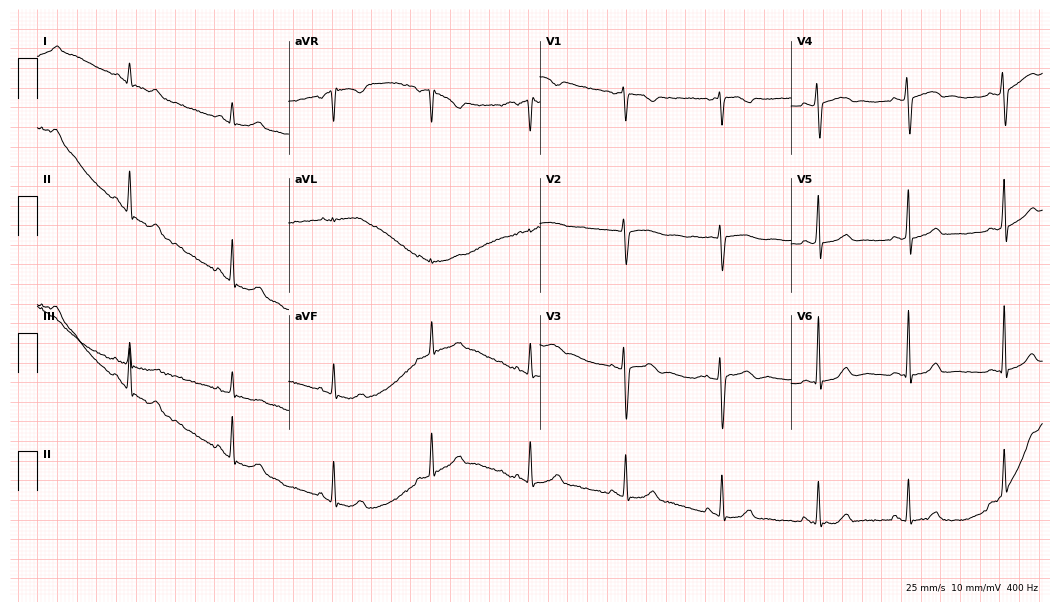
Electrocardiogram (10.2-second recording at 400 Hz), a 27-year-old female. Of the six screened findings (first-degree AV block, right bundle branch block, left bundle branch block, sinus bradycardia, atrial fibrillation, sinus tachycardia), none is recorded.